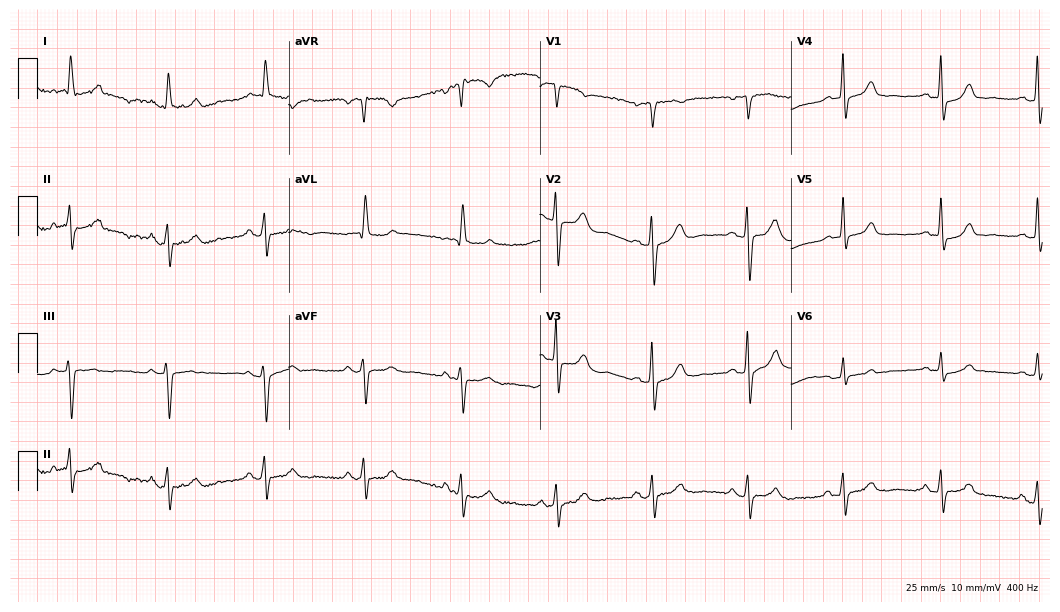
12-lead ECG from a female patient, 78 years old. Recorded interpretation: within normal limits.